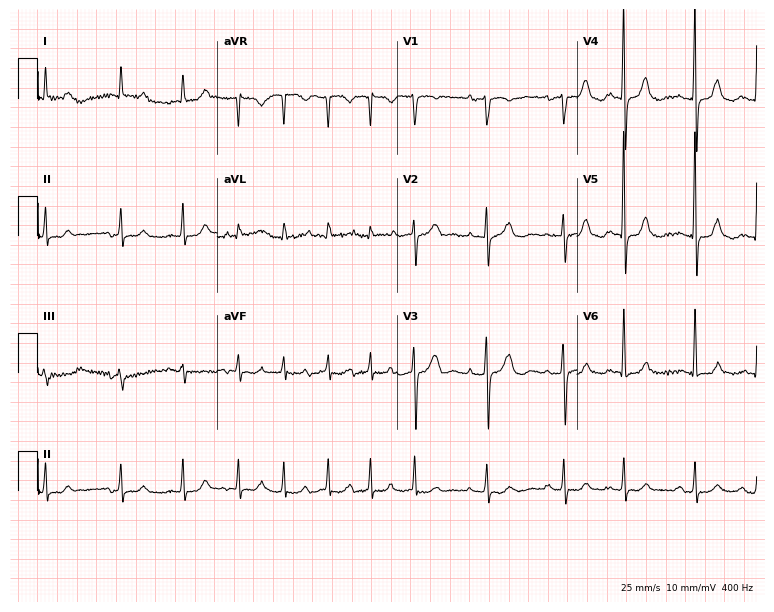
ECG — a 77-year-old woman. Findings include atrial fibrillation, sinus tachycardia (a sinus rate of 100 beats per minute or more).